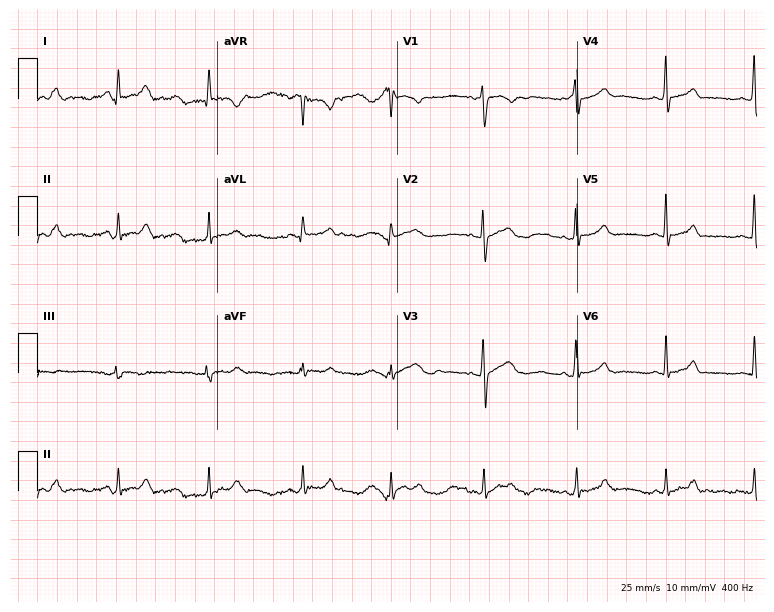
Electrocardiogram, a 38-year-old female patient. Overall reading on record: normal ECG.